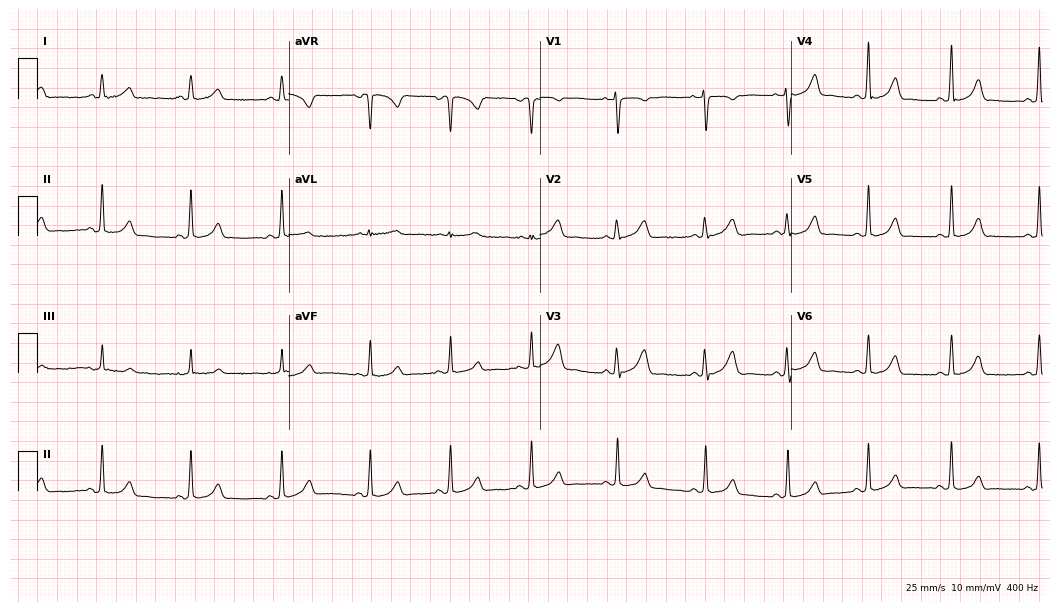
ECG (10.2-second recording at 400 Hz) — a 19-year-old woman. Labelled as a normal ECG.